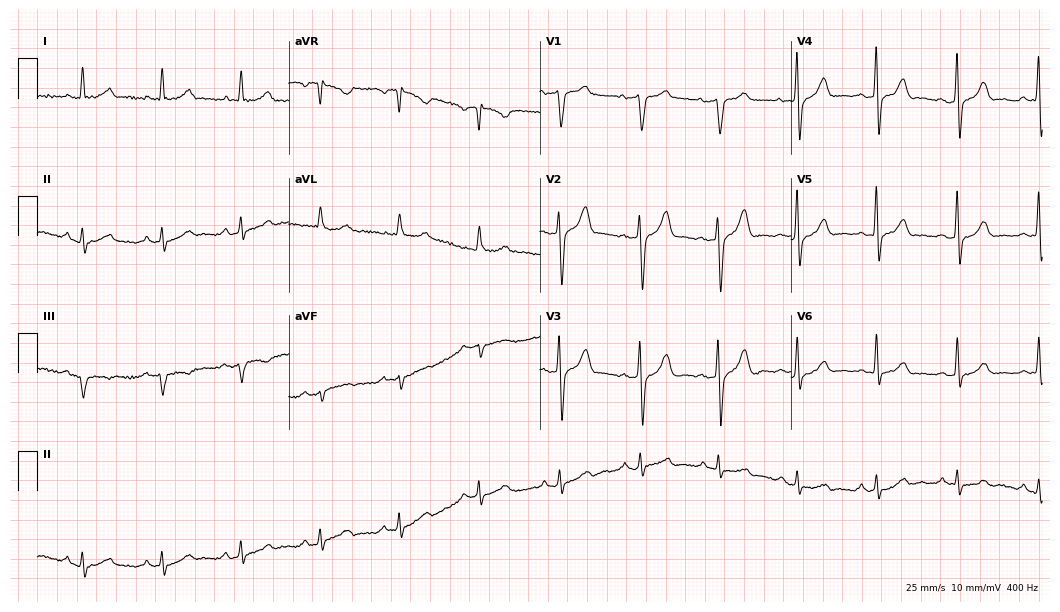
Resting 12-lead electrocardiogram (10.2-second recording at 400 Hz). Patient: a 75-year-old male. Read as a normal ECG.